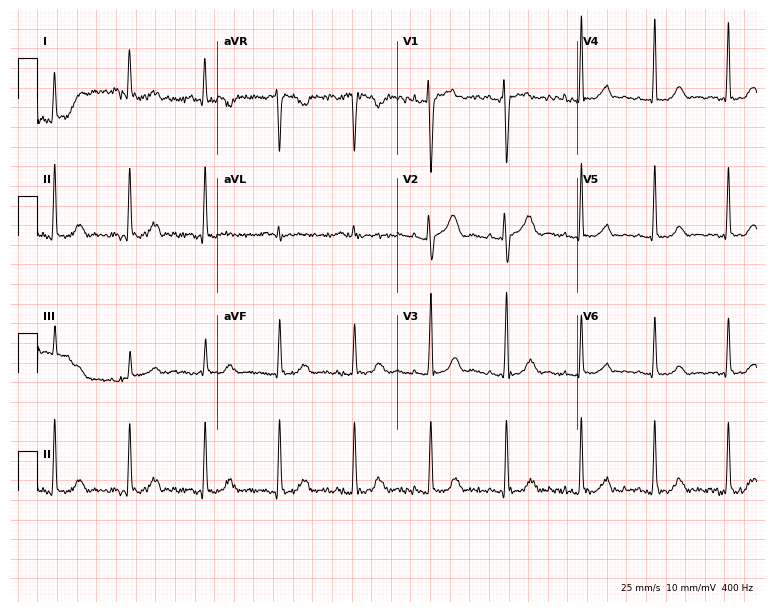
ECG — a 49-year-old female patient. Screened for six findings — first-degree AV block, right bundle branch block (RBBB), left bundle branch block (LBBB), sinus bradycardia, atrial fibrillation (AF), sinus tachycardia — none is recorded. Only these six findings were labelled.